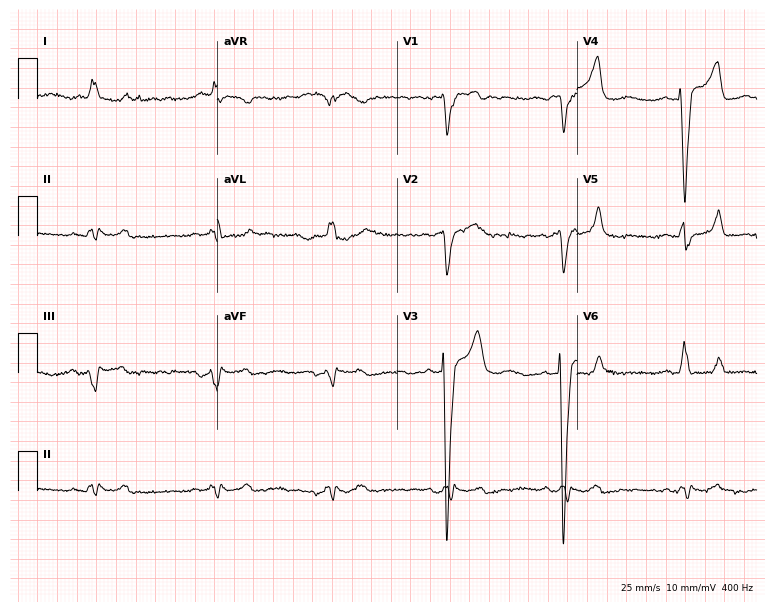
12-lead ECG from a 71-year-old male. Shows left bundle branch block, sinus bradycardia (a sinus rate of 50 beats per minute or less).